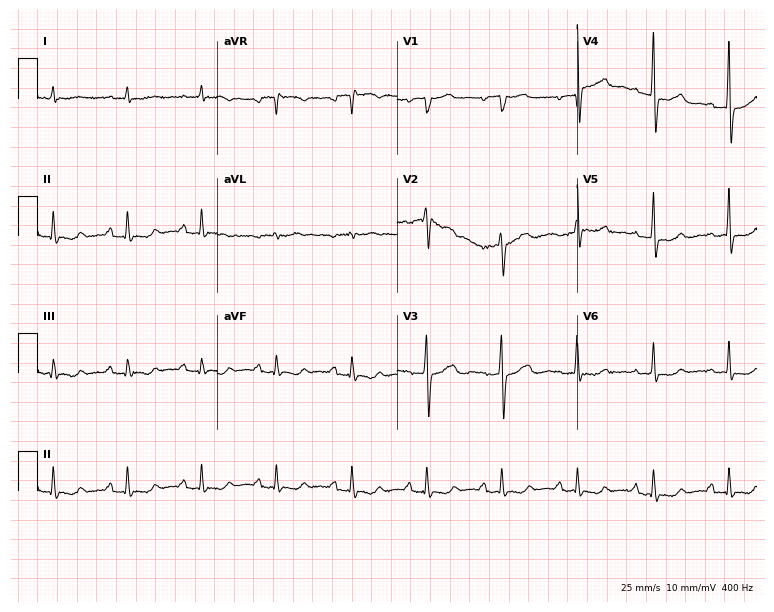
Standard 12-lead ECG recorded from a male, 84 years old (7.3-second recording at 400 Hz). Read as a normal ECG.